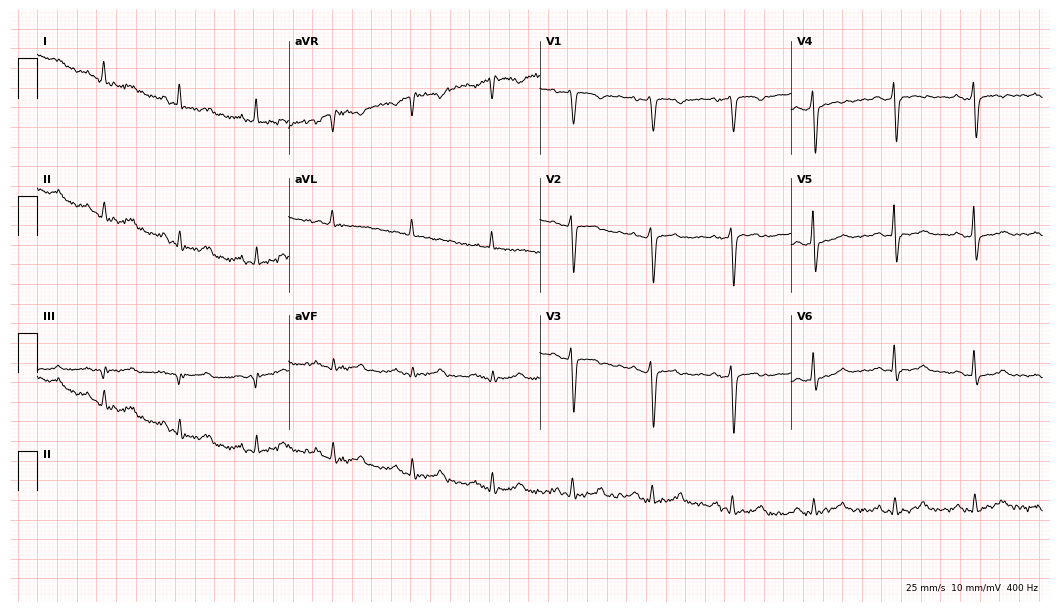
12-lead ECG (10.2-second recording at 400 Hz) from a woman, 63 years old. Screened for six findings — first-degree AV block, right bundle branch block, left bundle branch block, sinus bradycardia, atrial fibrillation, sinus tachycardia — none is recorded. Findings outside these six are not listed.